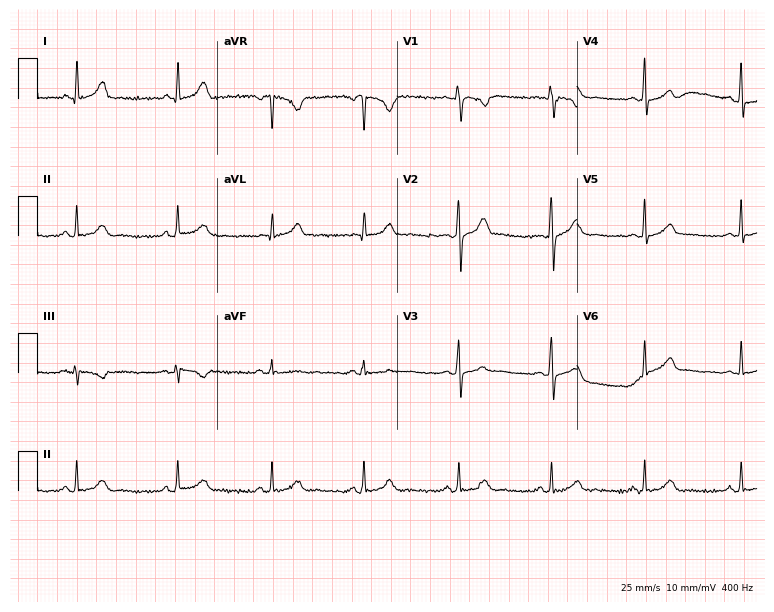
Resting 12-lead electrocardiogram (7.3-second recording at 400 Hz). Patient: a female, 27 years old. Read as a normal ECG.